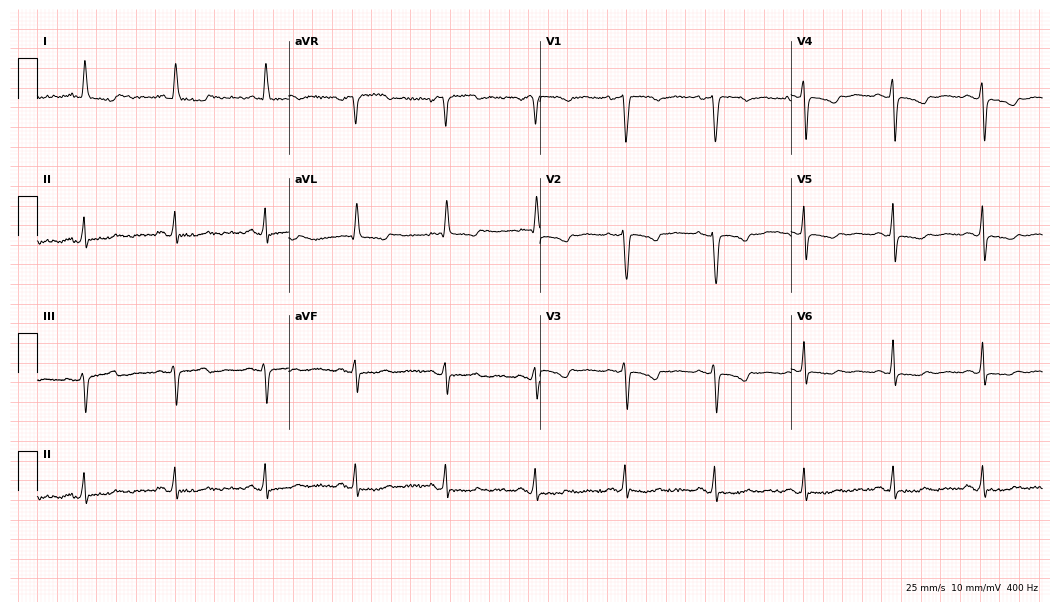
ECG — a female patient, 58 years old. Screened for six findings — first-degree AV block, right bundle branch block, left bundle branch block, sinus bradycardia, atrial fibrillation, sinus tachycardia — none is recorded.